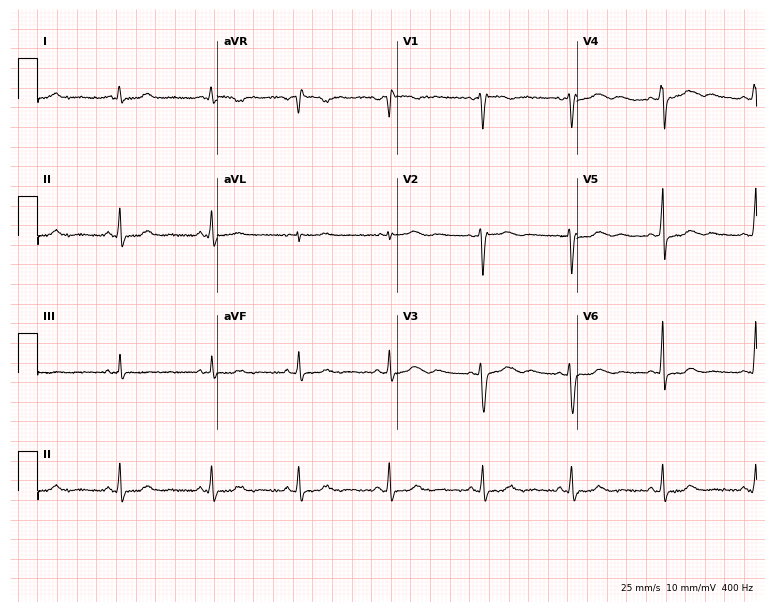
12-lead ECG from a female, 37 years old. Screened for six findings — first-degree AV block, right bundle branch block, left bundle branch block, sinus bradycardia, atrial fibrillation, sinus tachycardia — none is recorded. Findings outside these six are not listed.